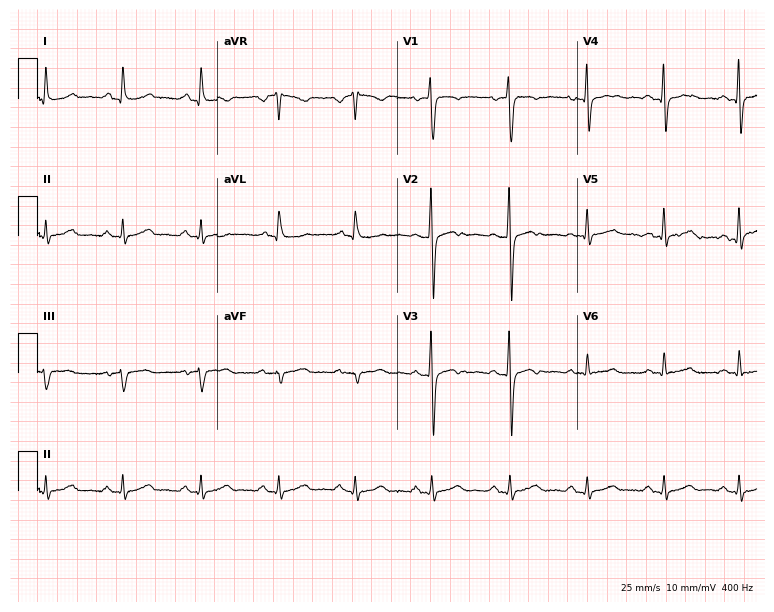
Electrocardiogram, a male, 52 years old. Of the six screened findings (first-degree AV block, right bundle branch block (RBBB), left bundle branch block (LBBB), sinus bradycardia, atrial fibrillation (AF), sinus tachycardia), none is recorded. Other findings, if any, are not listed.